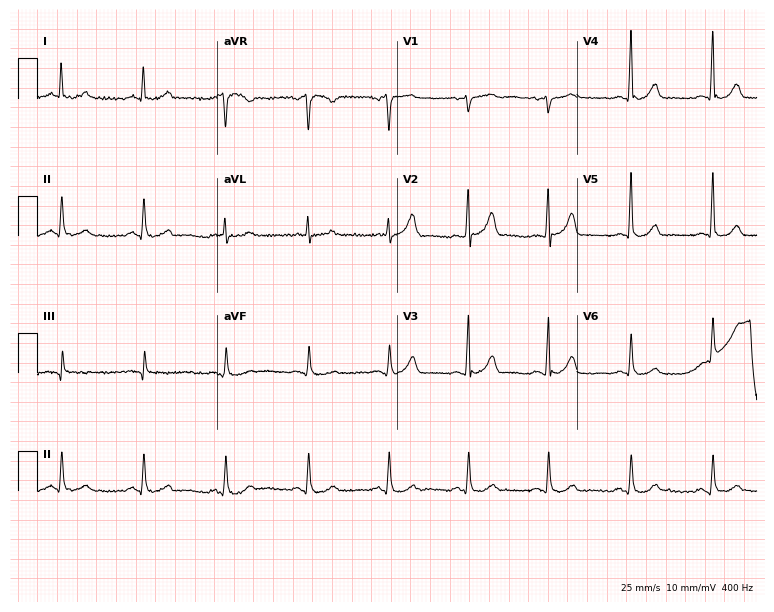
12-lead ECG from a 67-year-old male. Recorded interpretation: within normal limits.